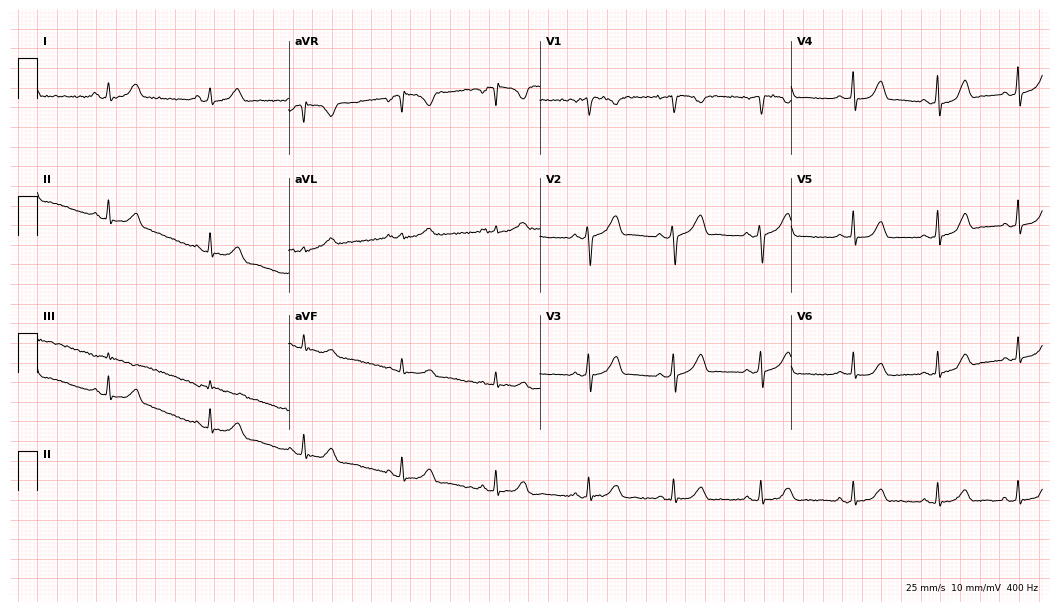
12-lead ECG from a 27-year-old female. No first-degree AV block, right bundle branch block, left bundle branch block, sinus bradycardia, atrial fibrillation or sinus tachycardia recorded for this tracing.